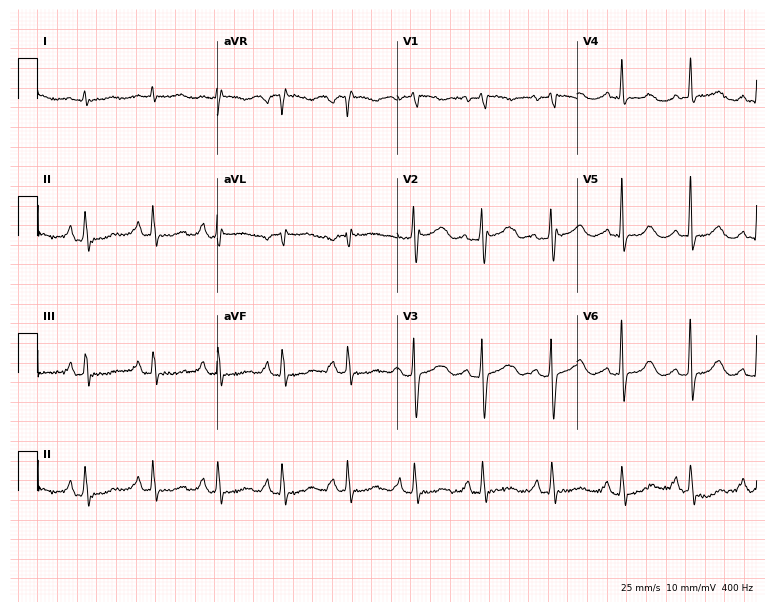
Electrocardiogram (7.3-second recording at 400 Hz), a woman, 61 years old. Overall reading on record: normal ECG.